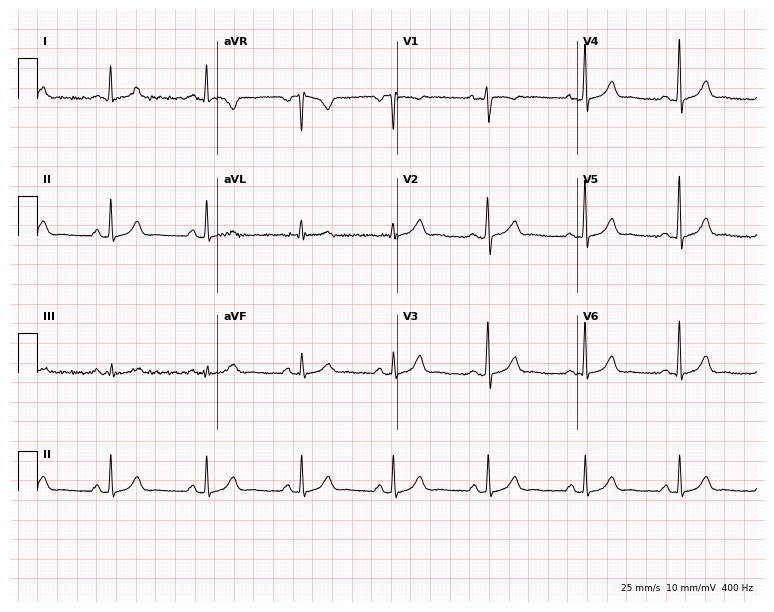
Resting 12-lead electrocardiogram (7.3-second recording at 400 Hz). Patient: a female, 32 years old. None of these six findings is recorded: first-degree AV block, right bundle branch block, left bundle branch block, sinus bradycardia, atrial fibrillation, sinus tachycardia.